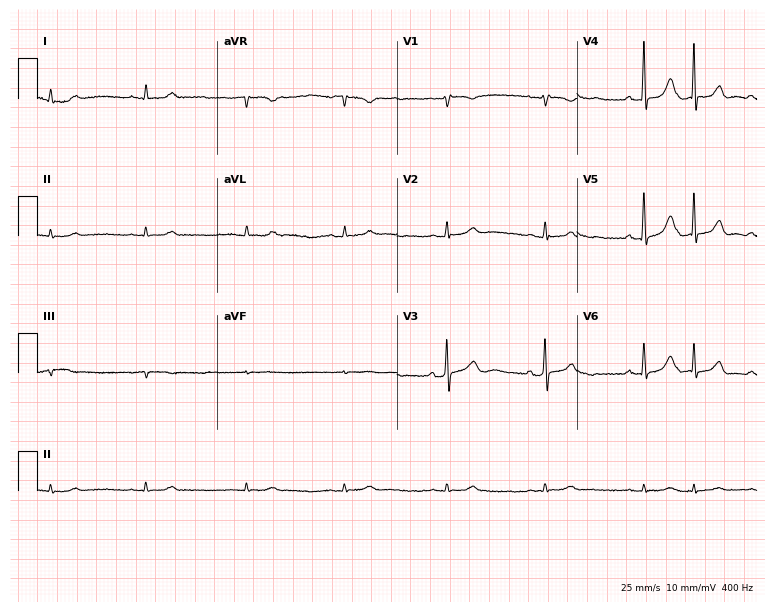
12-lead ECG from a woman, 75 years old (7.3-second recording at 400 Hz). Recorded interpretation: within normal limits.